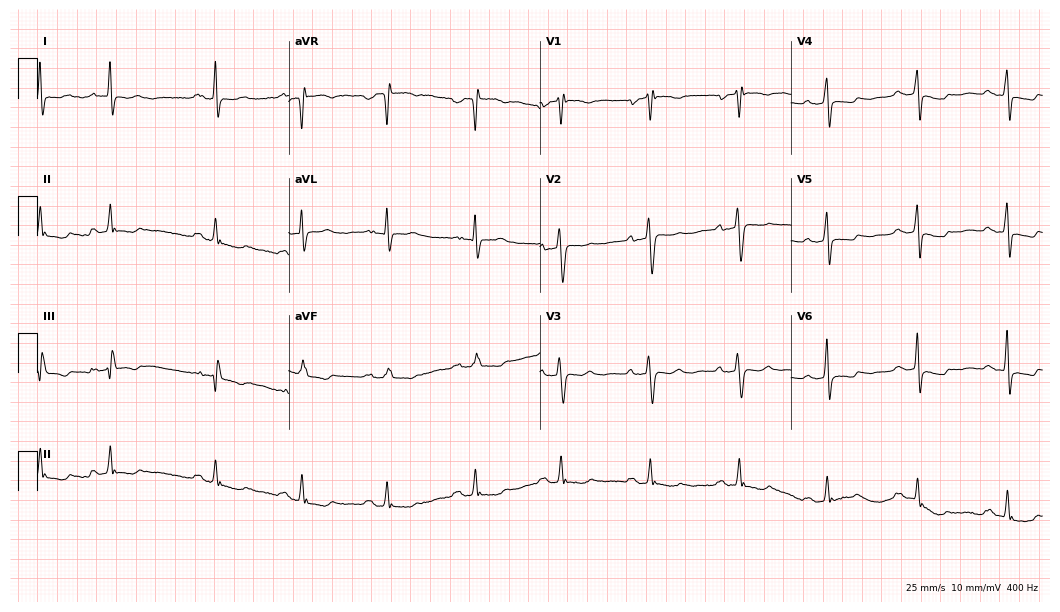
Standard 12-lead ECG recorded from a 66-year-old female patient. None of these six findings is recorded: first-degree AV block, right bundle branch block (RBBB), left bundle branch block (LBBB), sinus bradycardia, atrial fibrillation (AF), sinus tachycardia. Findings outside these six are not listed.